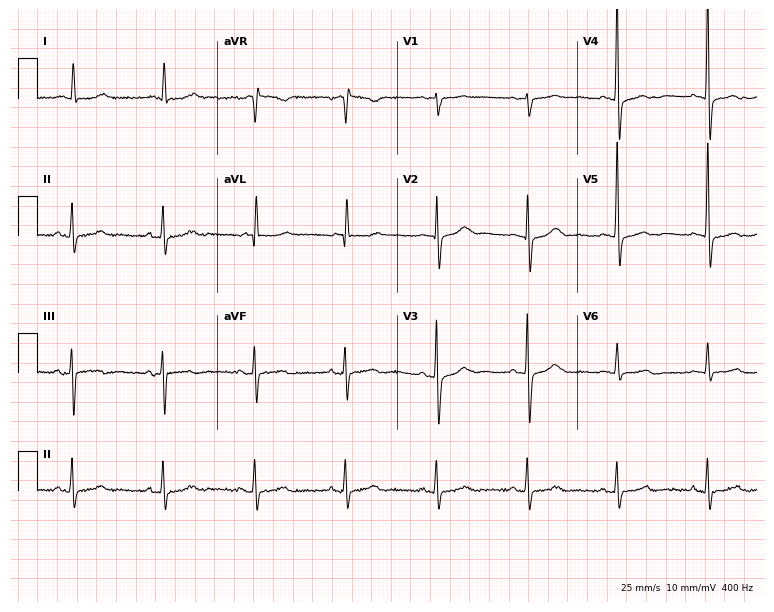
12-lead ECG from a male patient, 85 years old (7.3-second recording at 400 Hz). Recorded interpretation: within normal limits.